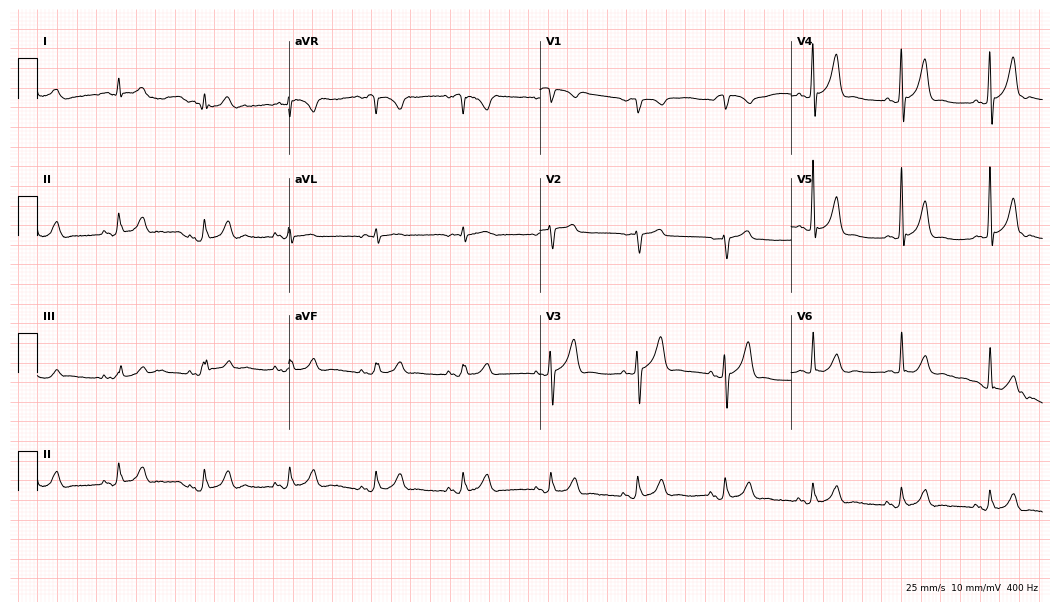
12-lead ECG from a 65-year-old male patient. Labelled as a normal ECG.